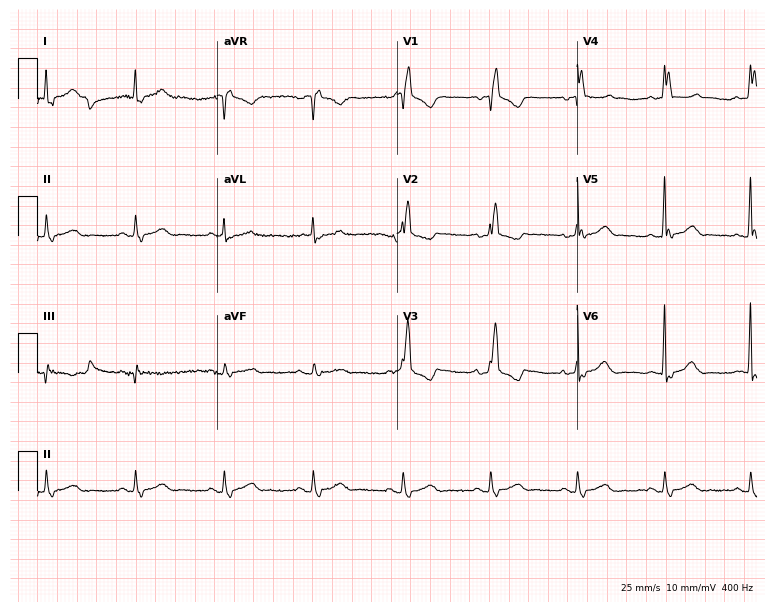
Resting 12-lead electrocardiogram. Patient: a male, 82 years old. The tracing shows right bundle branch block (RBBB).